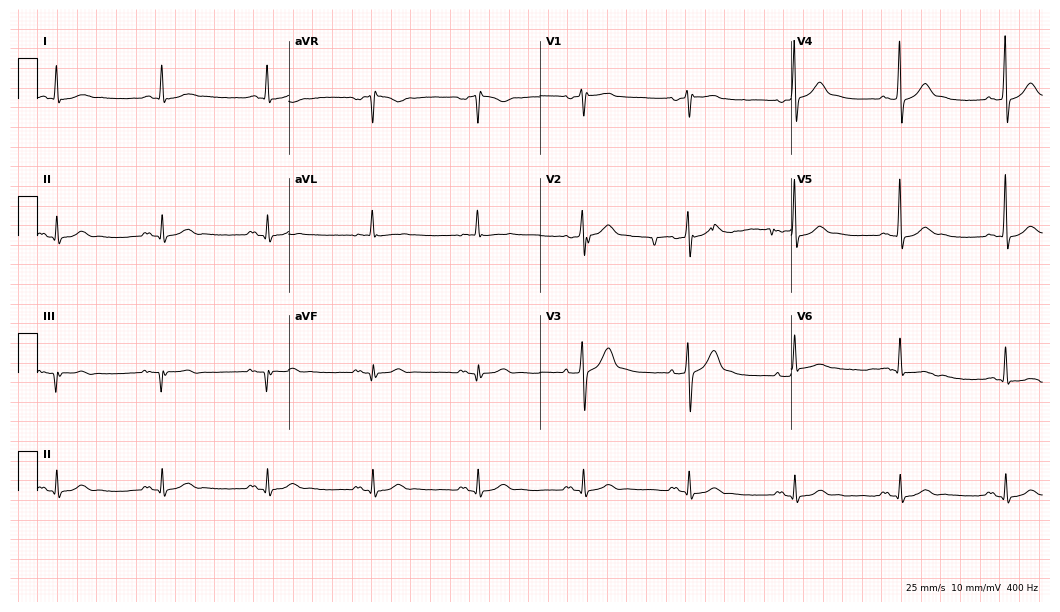
Electrocardiogram (10.2-second recording at 400 Hz), a 67-year-old male patient. Of the six screened findings (first-degree AV block, right bundle branch block, left bundle branch block, sinus bradycardia, atrial fibrillation, sinus tachycardia), none is recorded. Findings outside these six are not listed.